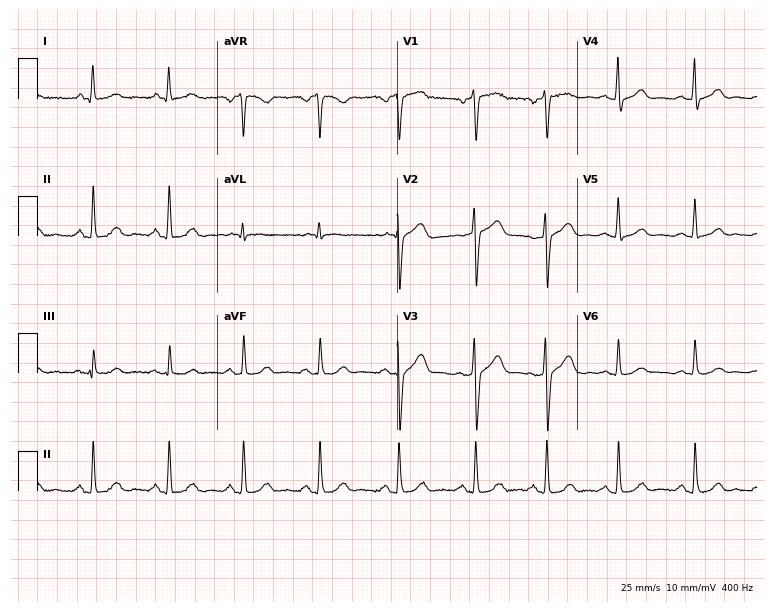
12-lead ECG from a 58-year-old woman (7.3-second recording at 400 Hz). Recorded interpretation: within normal limits.